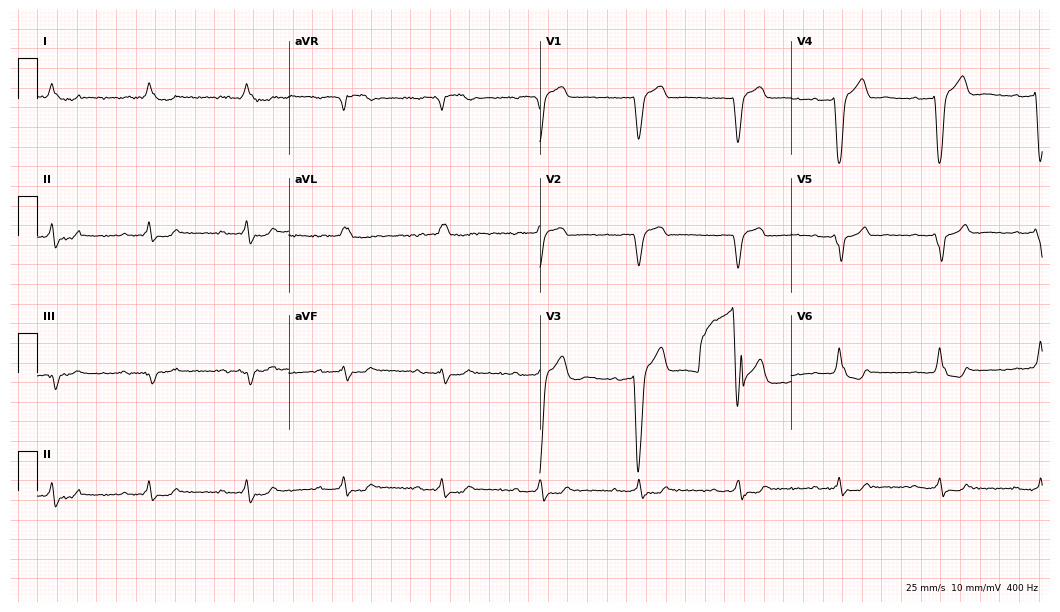
Standard 12-lead ECG recorded from an 83-year-old male. The tracing shows first-degree AV block, left bundle branch block.